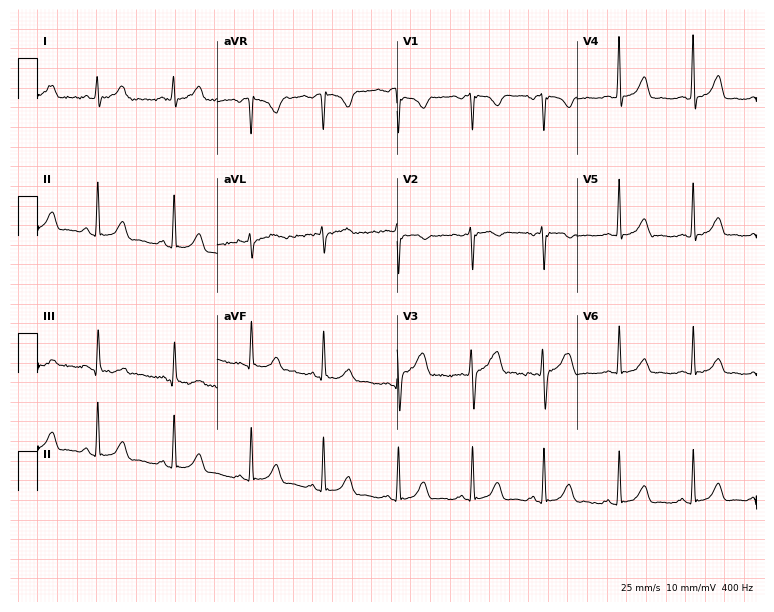
Resting 12-lead electrocardiogram. Patient: a 34-year-old woman. None of these six findings is recorded: first-degree AV block, right bundle branch block, left bundle branch block, sinus bradycardia, atrial fibrillation, sinus tachycardia.